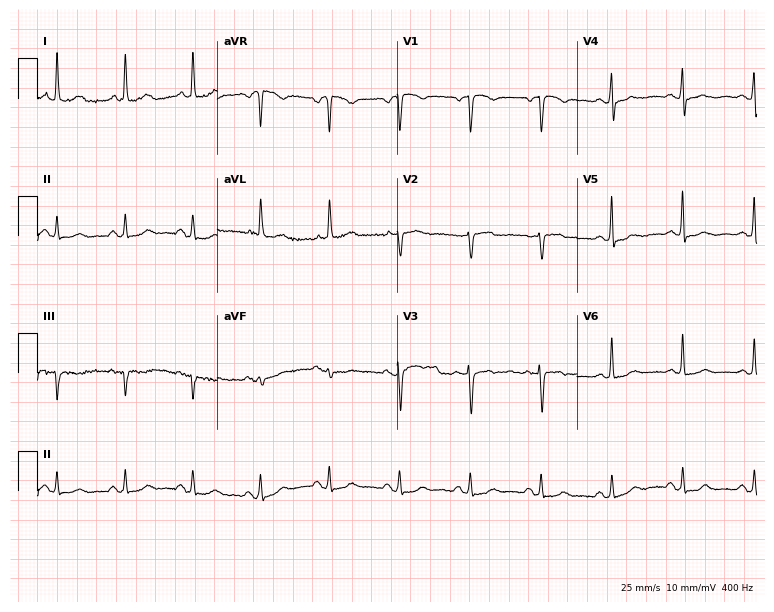
12-lead ECG from a female, 82 years old. No first-degree AV block, right bundle branch block (RBBB), left bundle branch block (LBBB), sinus bradycardia, atrial fibrillation (AF) or sinus tachycardia recorded for this tracing. Findings outside these six are not listed.